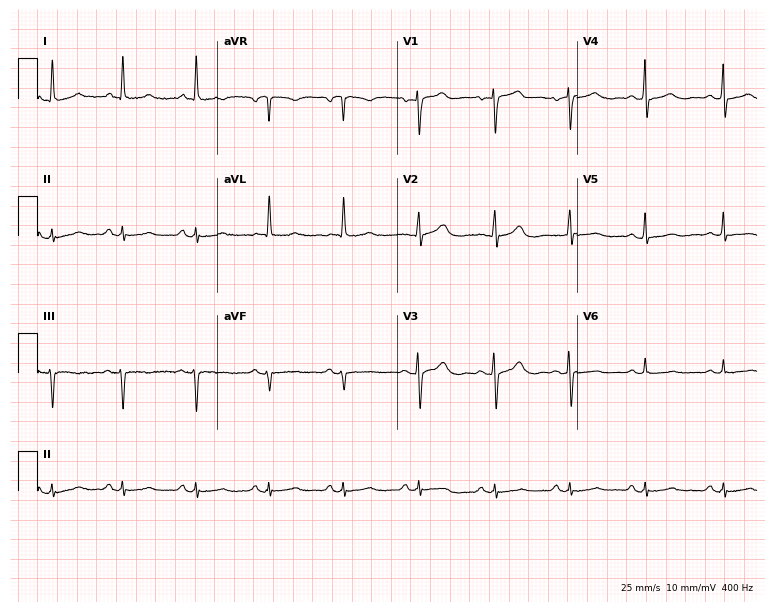
Standard 12-lead ECG recorded from a 75-year-old woman (7.3-second recording at 400 Hz). None of these six findings is recorded: first-degree AV block, right bundle branch block, left bundle branch block, sinus bradycardia, atrial fibrillation, sinus tachycardia.